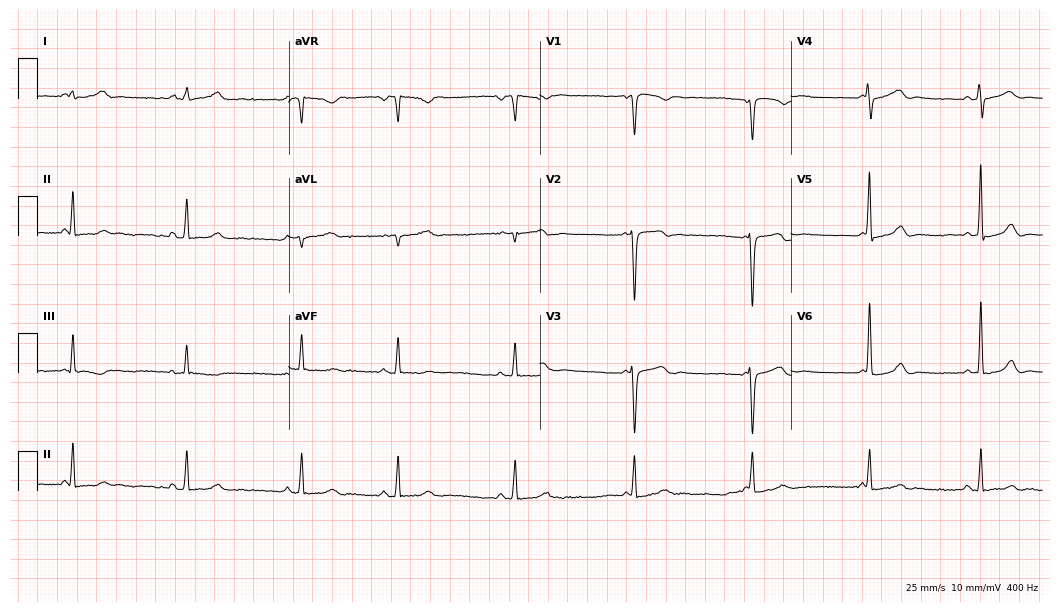
12-lead ECG from a female, 39 years old. Screened for six findings — first-degree AV block, right bundle branch block, left bundle branch block, sinus bradycardia, atrial fibrillation, sinus tachycardia — none is recorded.